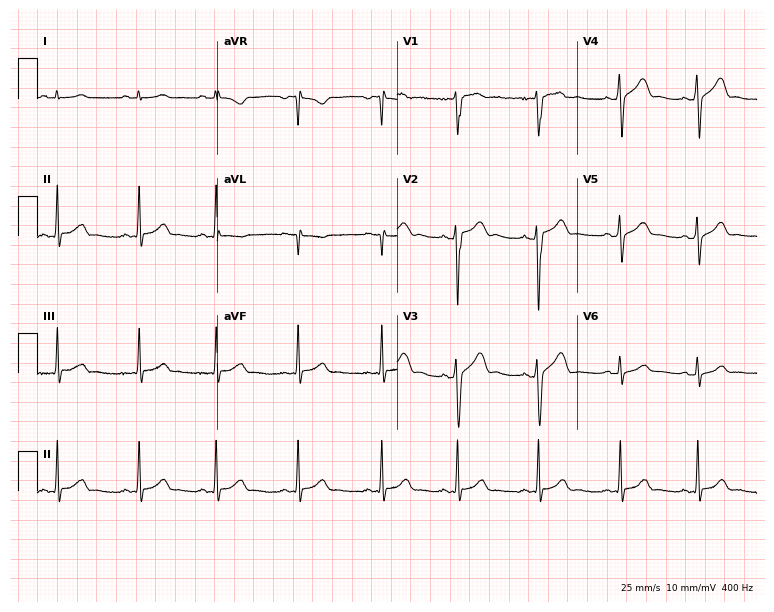
12-lead ECG (7.3-second recording at 400 Hz) from a male, 19 years old. Screened for six findings — first-degree AV block, right bundle branch block (RBBB), left bundle branch block (LBBB), sinus bradycardia, atrial fibrillation (AF), sinus tachycardia — none is recorded.